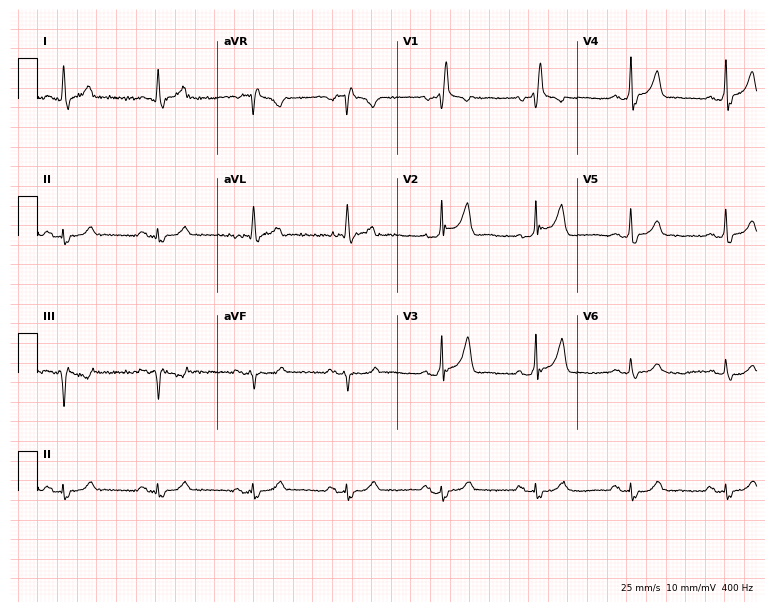
Electrocardiogram, a male, 65 years old. Interpretation includes right bundle branch block.